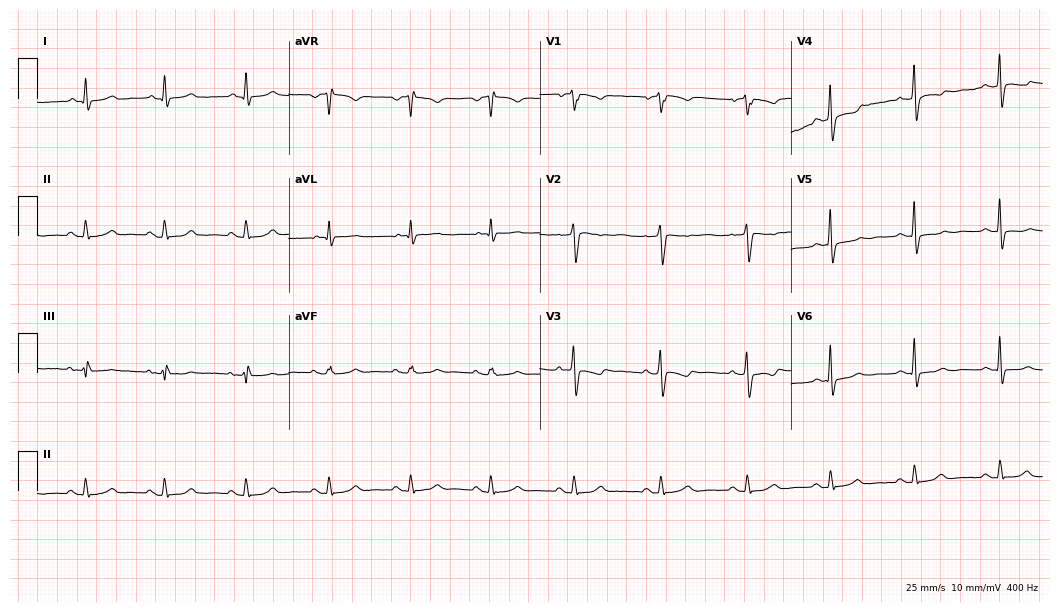
12-lead ECG from a 58-year-old woman. Screened for six findings — first-degree AV block, right bundle branch block, left bundle branch block, sinus bradycardia, atrial fibrillation, sinus tachycardia — none is recorded. Other findings, if any, are not listed.